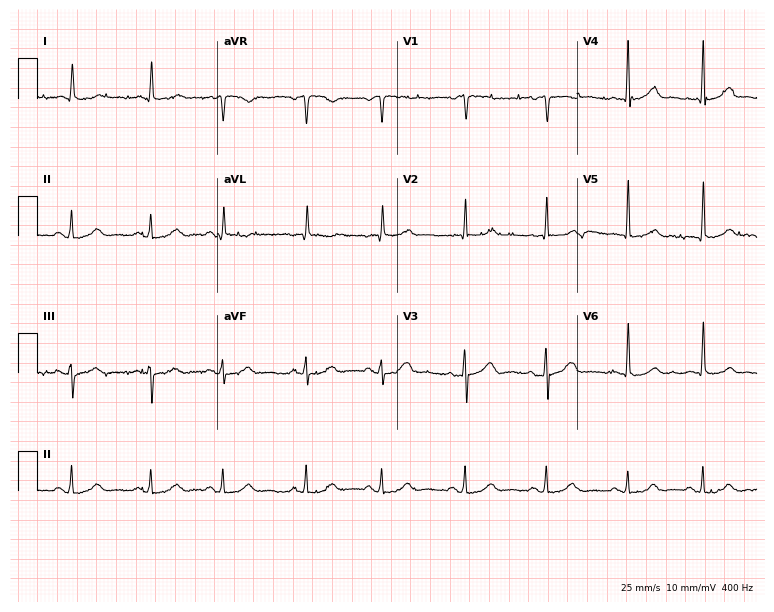
Standard 12-lead ECG recorded from a female patient, 73 years old. Read as a normal ECG.